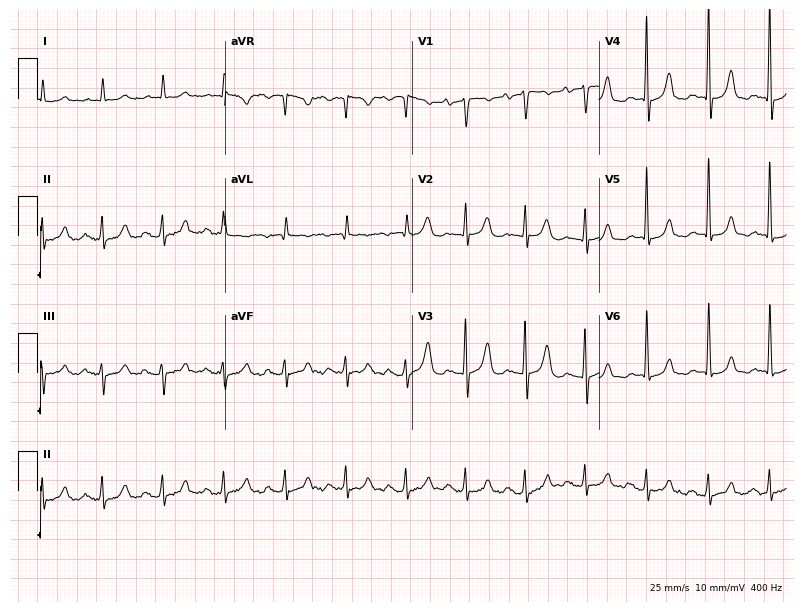
Resting 12-lead electrocardiogram. Patient: a female, 70 years old. None of these six findings is recorded: first-degree AV block, right bundle branch block, left bundle branch block, sinus bradycardia, atrial fibrillation, sinus tachycardia.